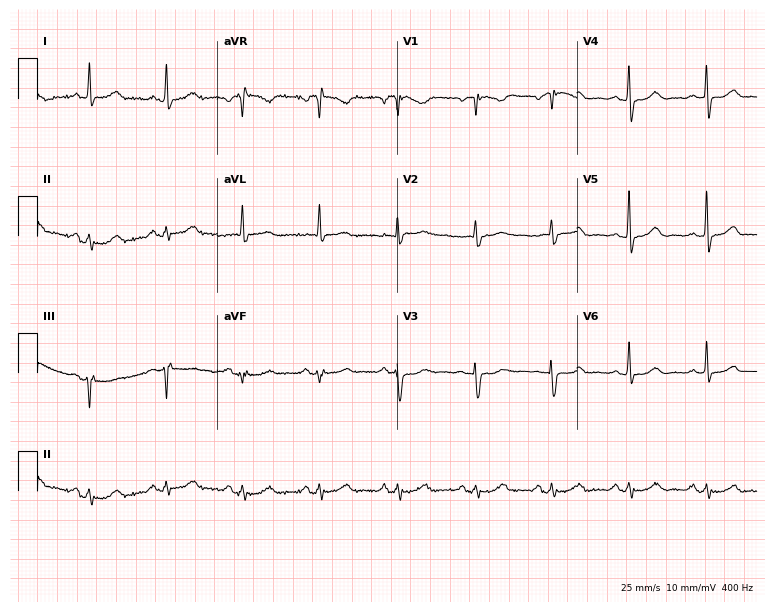
12-lead ECG from a female patient, 58 years old. Labelled as a normal ECG.